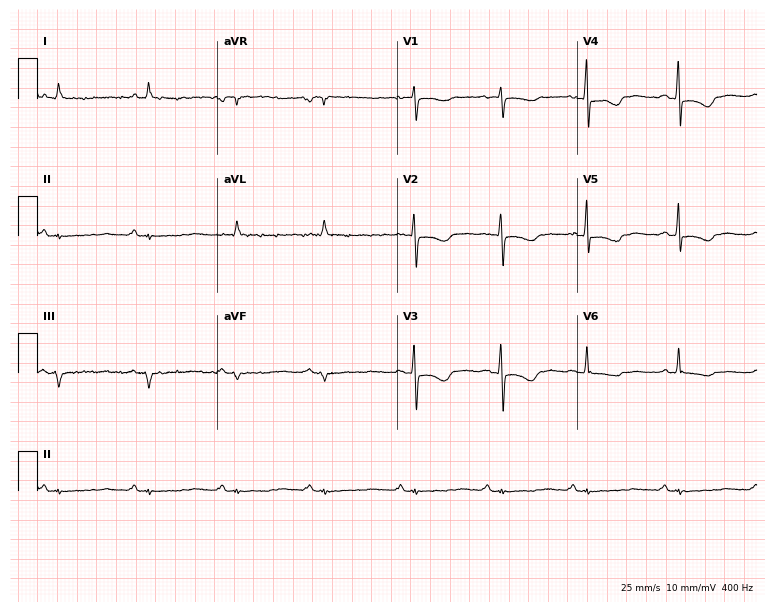
ECG — a 53-year-old female patient. Screened for six findings — first-degree AV block, right bundle branch block (RBBB), left bundle branch block (LBBB), sinus bradycardia, atrial fibrillation (AF), sinus tachycardia — none is recorded.